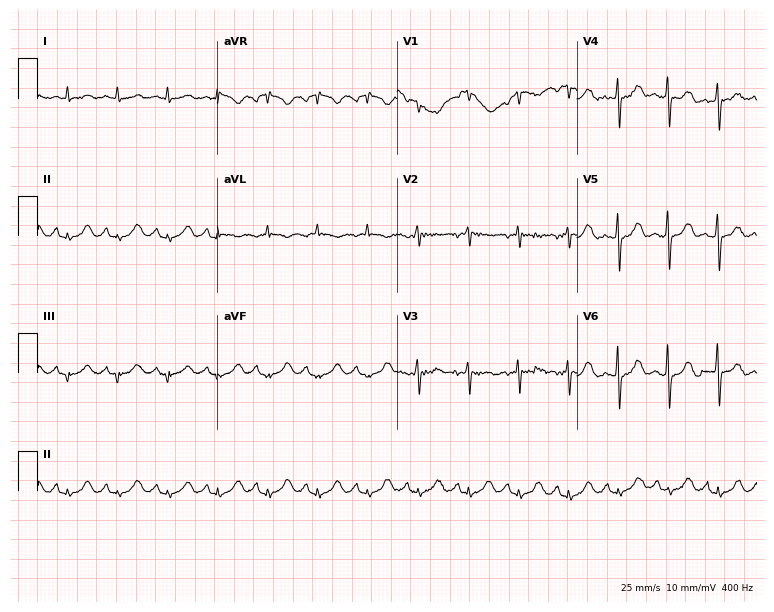
Standard 12-lead ECG recorded from a 75-year-old female. The tracing shows sinus tachycardia (a sinus rate of 100 beats per minute or more).